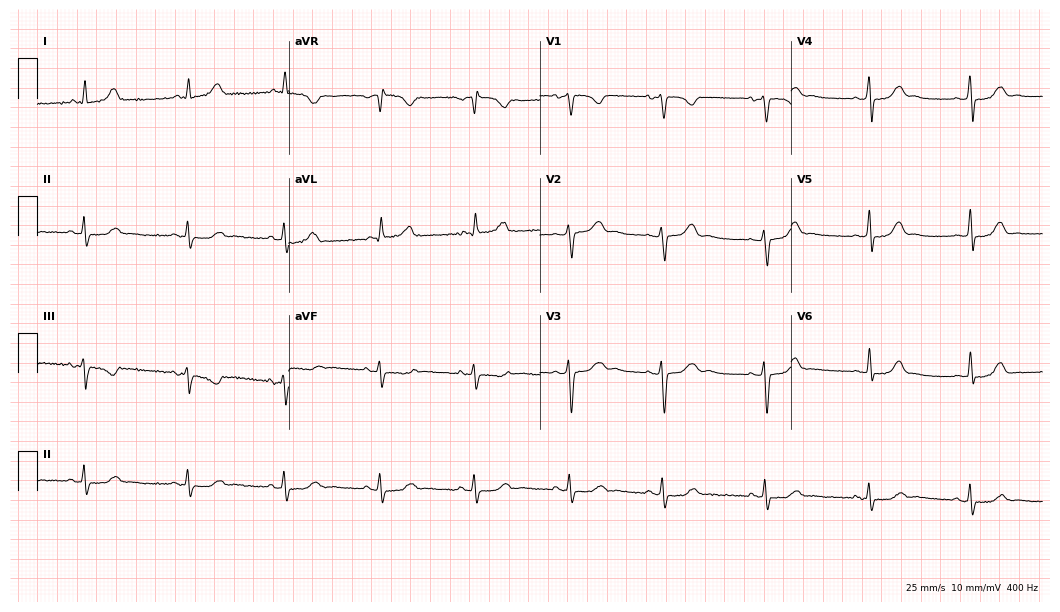
Standard 12-lead ECG recorded from a 42-year-old female. None of these six findings is recorded: first-degree AV block, right bundle branch block, left bundle branch block, sinus bradycardia, atrial fibrillation, sinus tachycardia. Only these six findings were labelled.